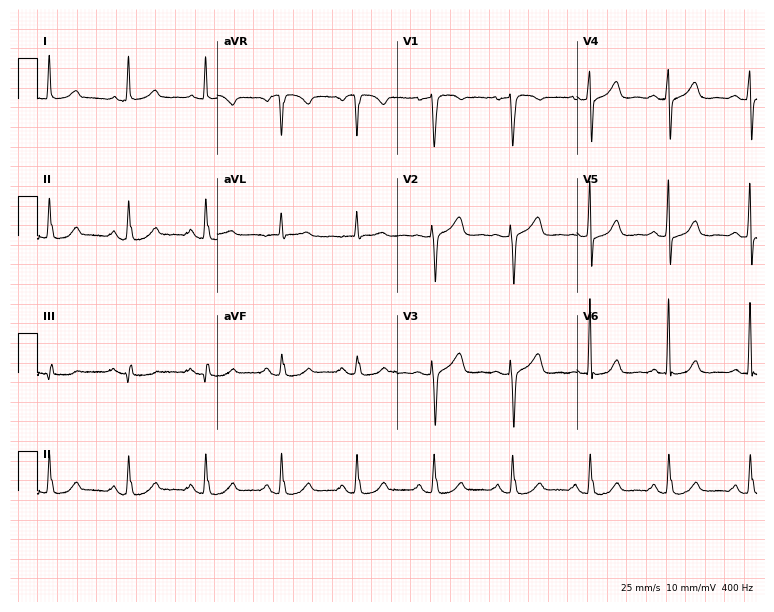
12-lead ECG from a 59-year-old female patient (7.3-second recording at 400 Hz). Recorded interpretation: within normal limits.